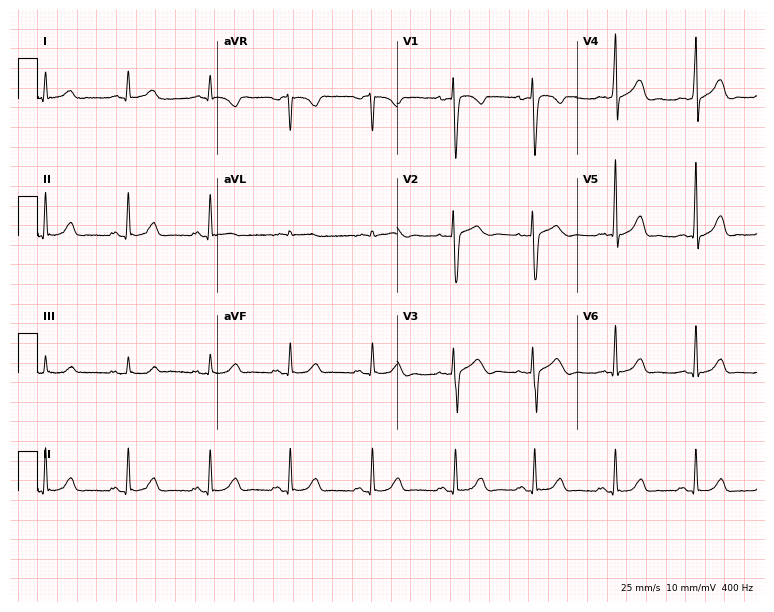
Resting 12-lead electrocardiogram (7.3-second recording at 400 Hz). Patient: a woman, 38 years old. Read as a normal ECG.